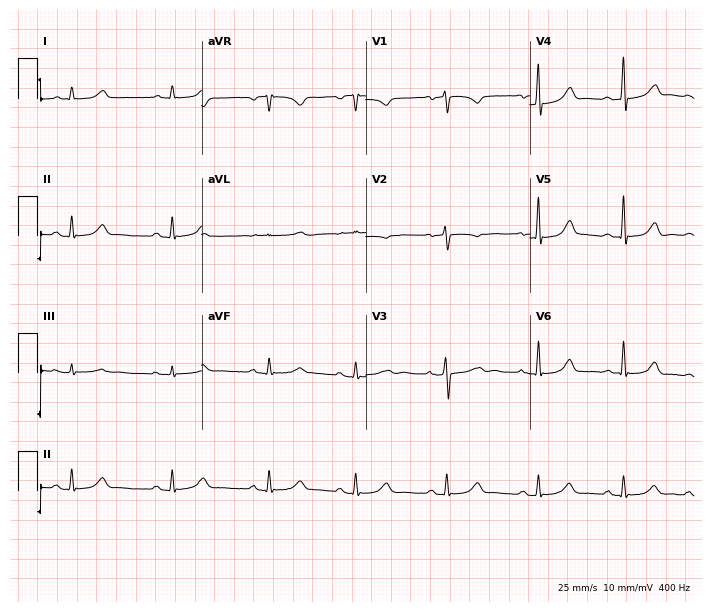
Electrocardiogram, a 43-year-old female patient. Overall reading on record: normal ECG.